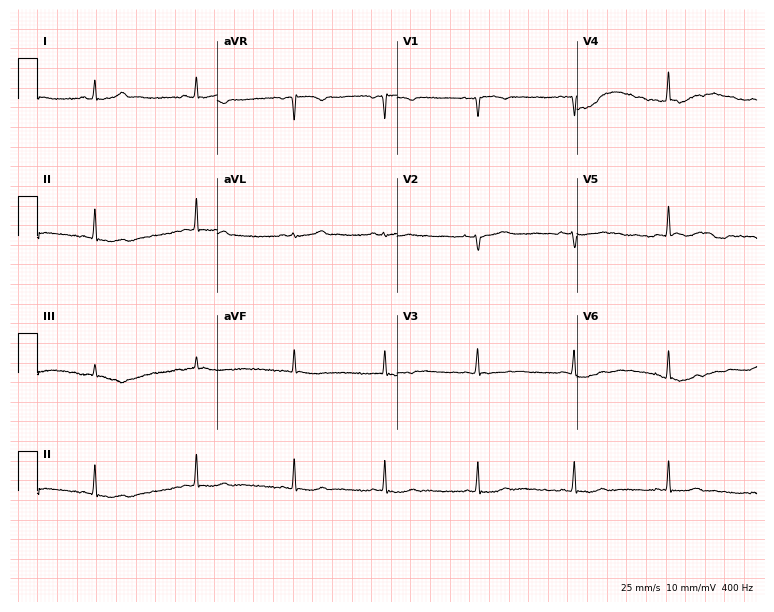
ECG (7.3-second recording at 400 Hz) — a 27-year-old female patient. Screened for six findings — first-degree AV block, right bundle branch block, left bundle branch block, sinus bradycardia, atrial fibrillation, sinus tachycardia — none is recorded. Other findings, if any, are not listed.